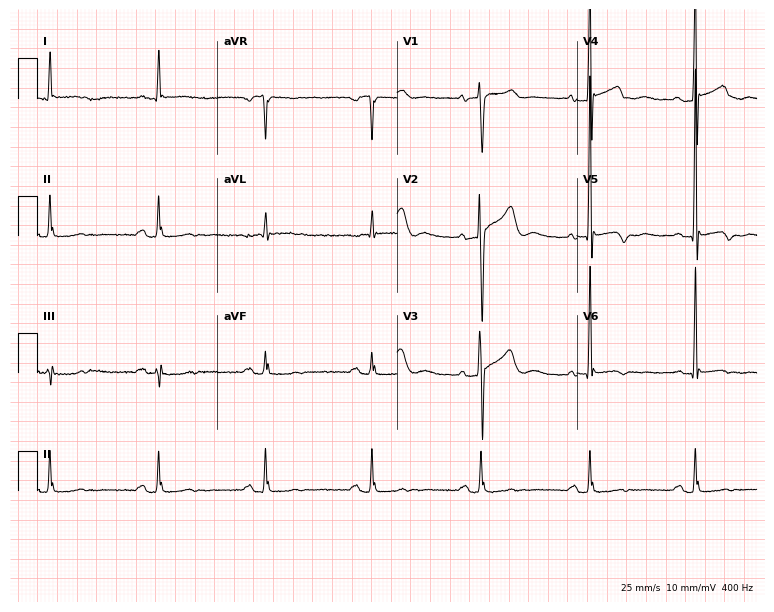
12-lead ECG from a man, 61 years old. Screened for six findings — first-degree AV block, right bundle branch block (RBBB), left bundle branch block (LBBB), sinus bradycardia, atrial fibrillation (AF), sinus tachycardia — none is recorded.